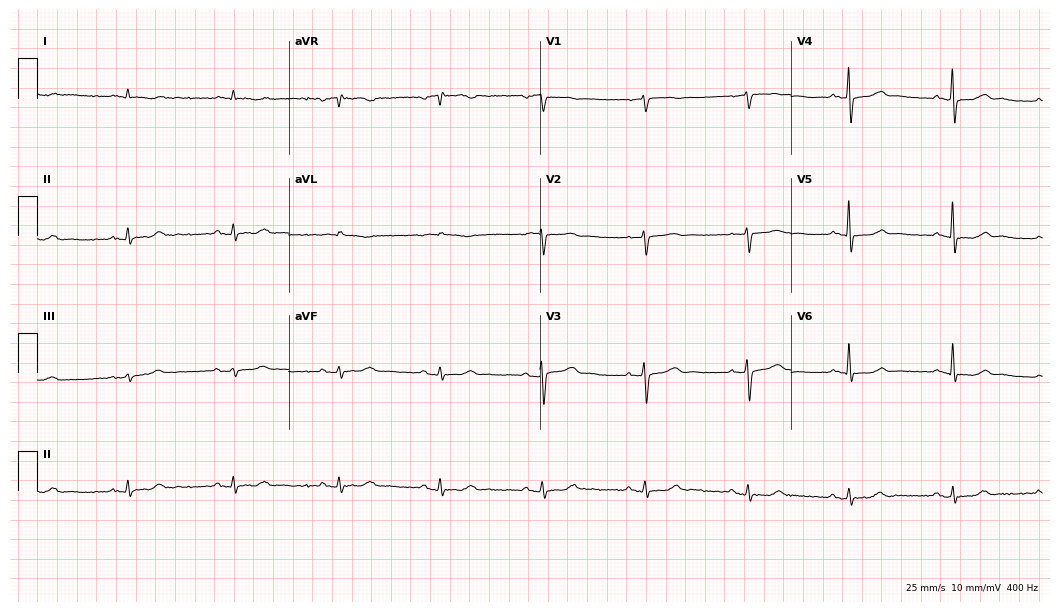
ECG (10.2-second recording at 400 Hz) — a male, 75 years old. Labelled as a normal ECG.